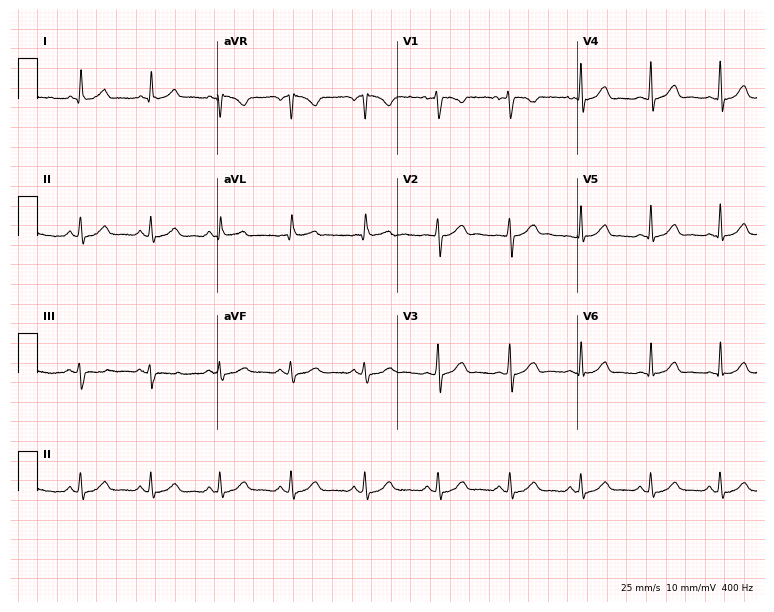
12-lead ECG from a 36-year-old female patient. Recorded interpretation: within normal limits.